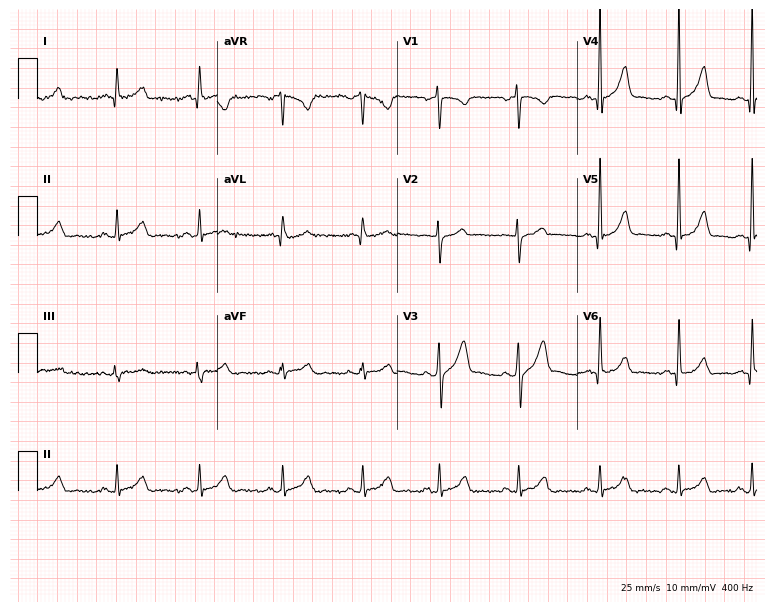
12-lead ECG (7.3-second recording at 400 Hz) from a male, 37 years old. Screened for six findings — first-degree AV block, right bundle branch block, left bundle branch block, sinus bradycardia, atrial fibrillation, sinus tachycardia — none is recorded. Other findings, if any, are not listed.